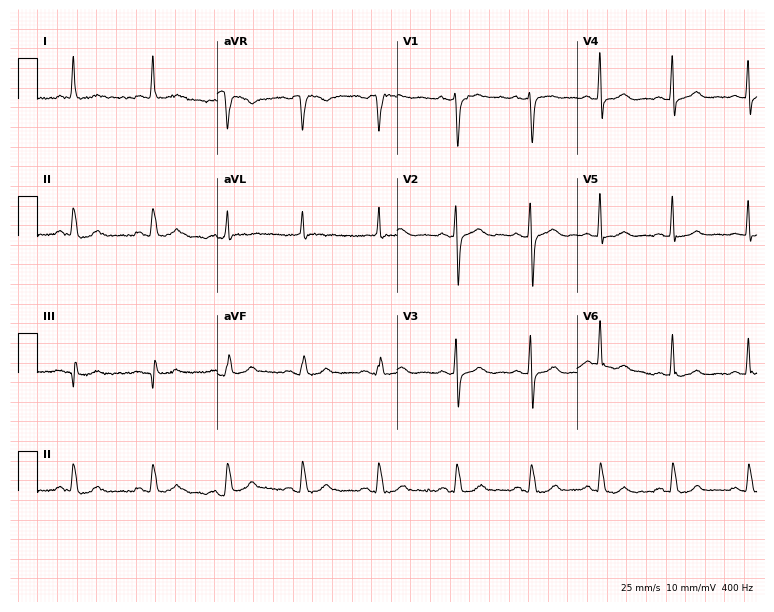
12-lead ECG from a 48-year-old female. Labelled as a normal ECG.